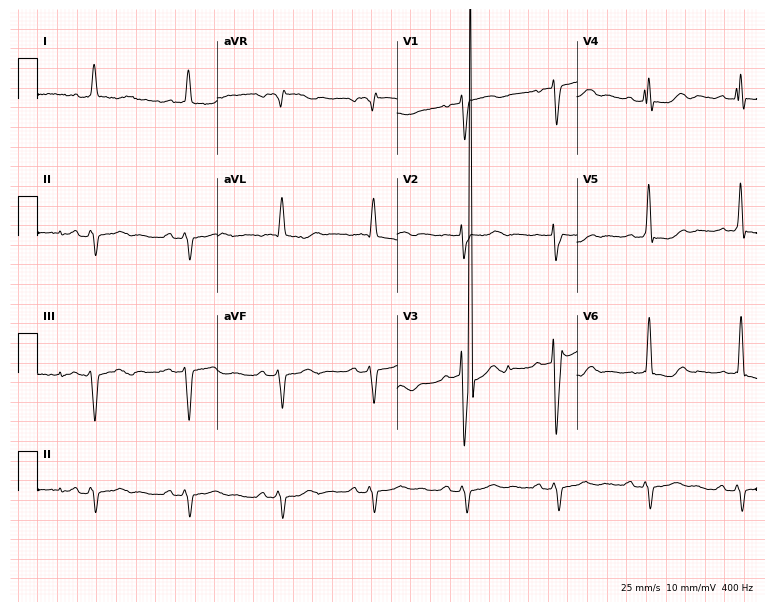
12-lead ECG from a female patient, 78 years old. Screened for six findings — first-degree AV block, right bundle branch block, left bundle branch block, sinus bradycardia, atrial fibrillation, sinus tachycardia — none is recorded. Findings outside these six are not listed.